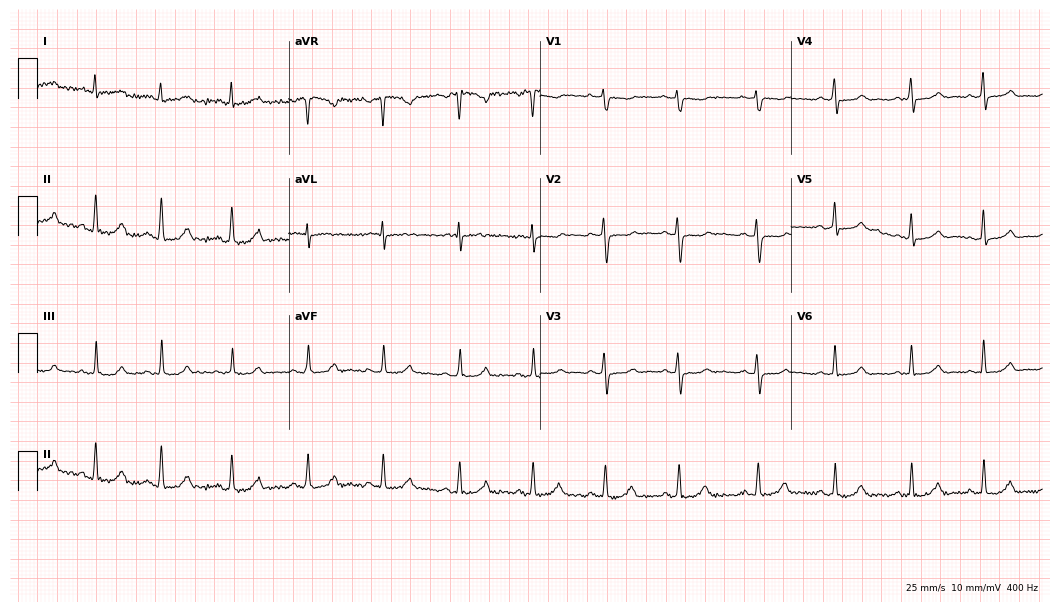
Resting 12-lead electrocardiogram (10.2-second recording at 400 Hz). Patient: a 36-year-old female. None of these six findings is recorded: first-degree AV block, right bundle branch block, left bundle branch block, sinus bradycardia, atrial fibrillation, sinus tachycardia. Other findings, if any, are not listed.